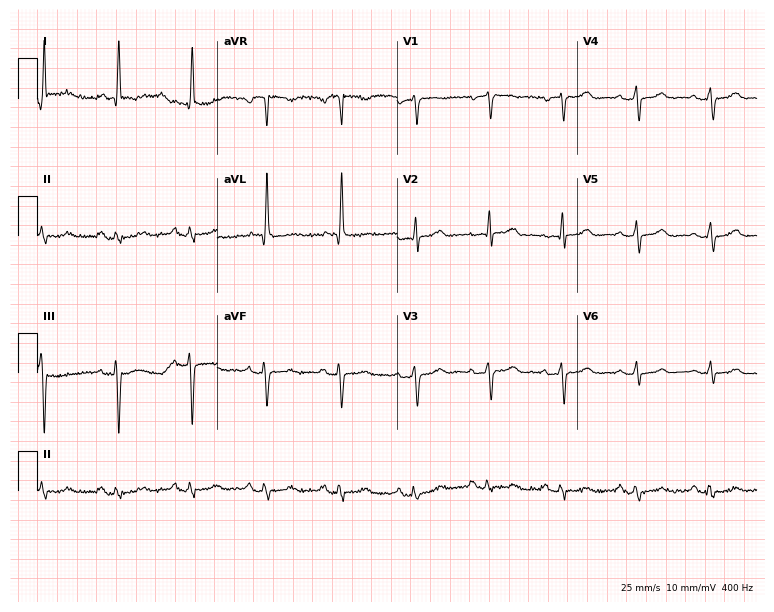
Resting 12-lead electrocardiogram. Patient: an 84-year-old female. None of these six findings is recorded: first-degree AV block, right bundle branch block, left bundle branch block, sinus bradycardia, atrial fibrillation, sinus tachycardia.